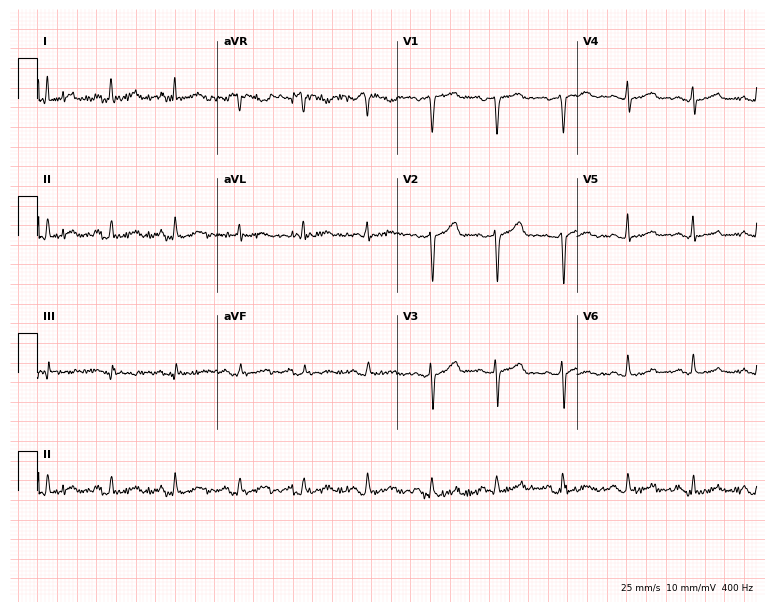
12-lead ECG from a 48-year-old female. Labelled as a normal ECG.